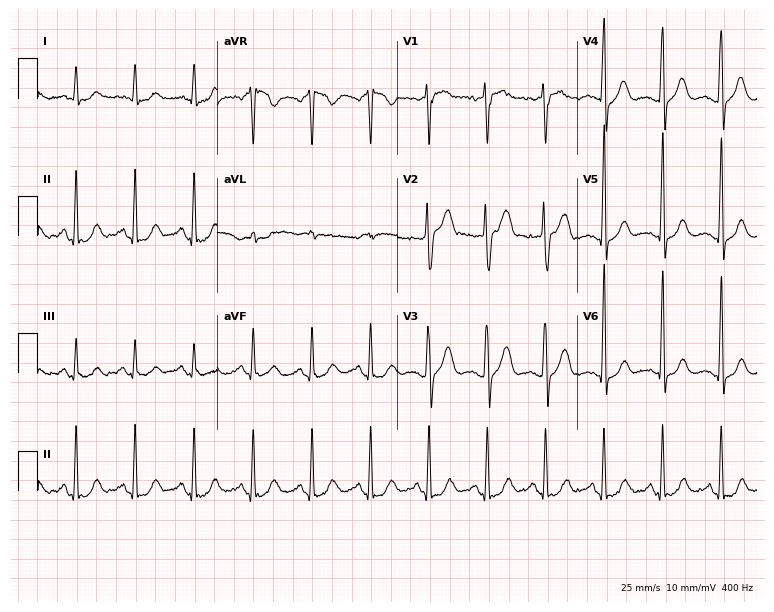
Standard 12-lead ECG recorded from a male, 63 years old (7.3-second recording at 400 Hz). None of these six findings is recorded: first-degree AV block, right bundle branch block, left bundle branch block, sinus bradycardia, atrial fibrillation, sinus tachycardia.